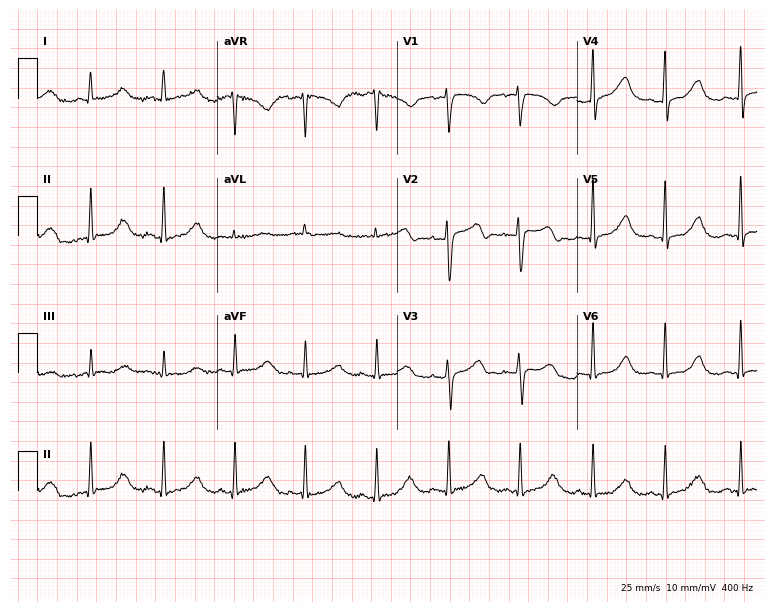
Standard 12-lead ECG recorded from a woman, 35 years old (7.3-second recording at 400 Hz). None of these six findings is recorded: first-degree AV block, right bundle branch block (RBBB), left bundle branch block (LBBB), sinus bradycardia, atrial fibrillation (AF), sinus tachycardia. Findings outside these six are not listed.